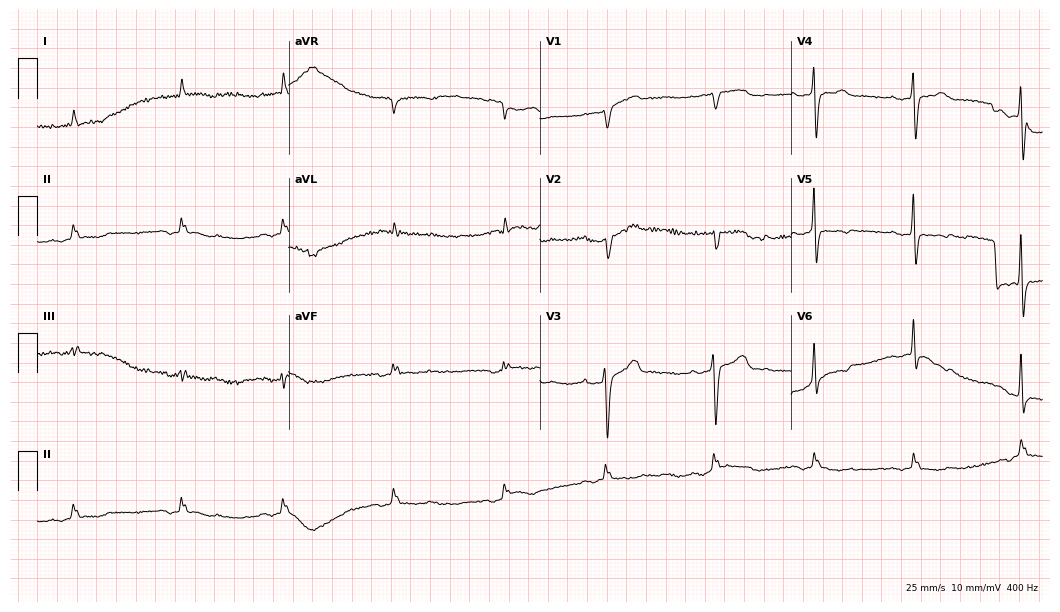
Electrocardiogram (10.2-second recording at 400 Hz), a female, 79 years old. Of the six screened findings (first-degree AV block, right bundle branch block, left bundle branch block, sinus bradycardia, atrial fibrillation, sinus tachycardia), none is recorded.